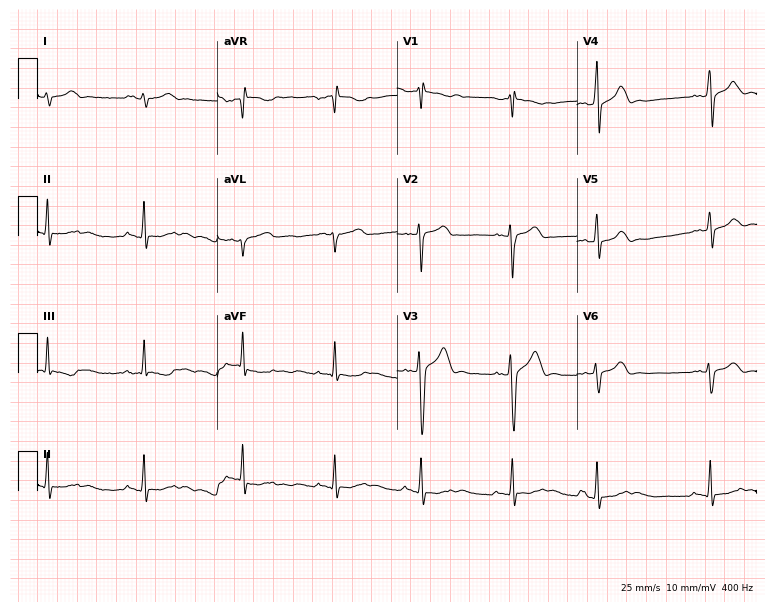
Electrocardiogram, a 33-year-old male. Of the six screened findings (first-degree AV block, right bundle branch block (RBBB), left bundle branch block (LBBB), sinus bradycardia, atrial fibrillation (AF), sinus tachycardia), none is recorded.